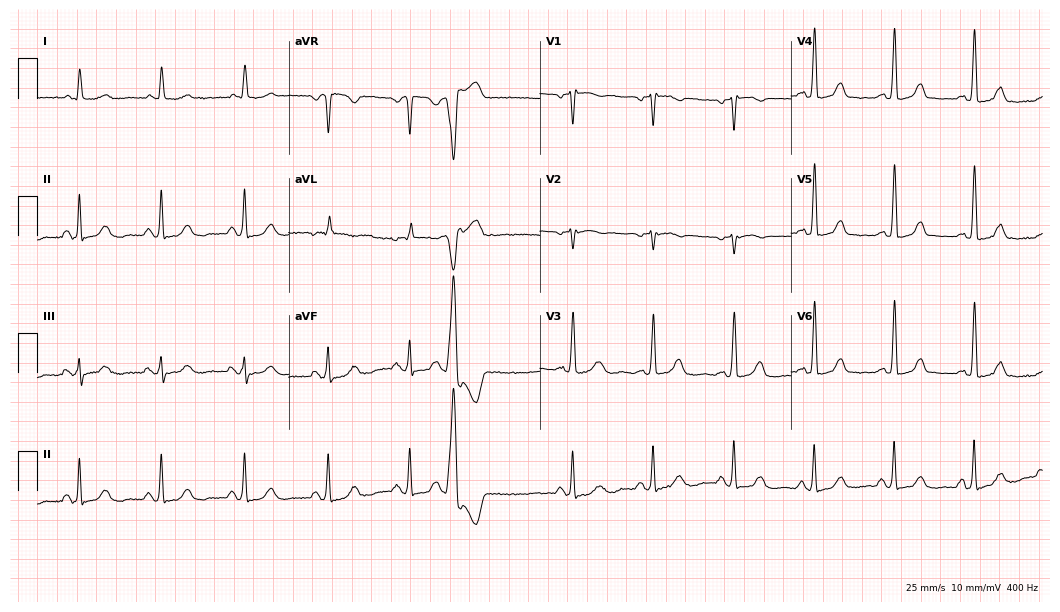
12-lead ECG (10.2-second recording at 400 Hz) from a female patient, 71 years old. Labelled as a normal ECG.